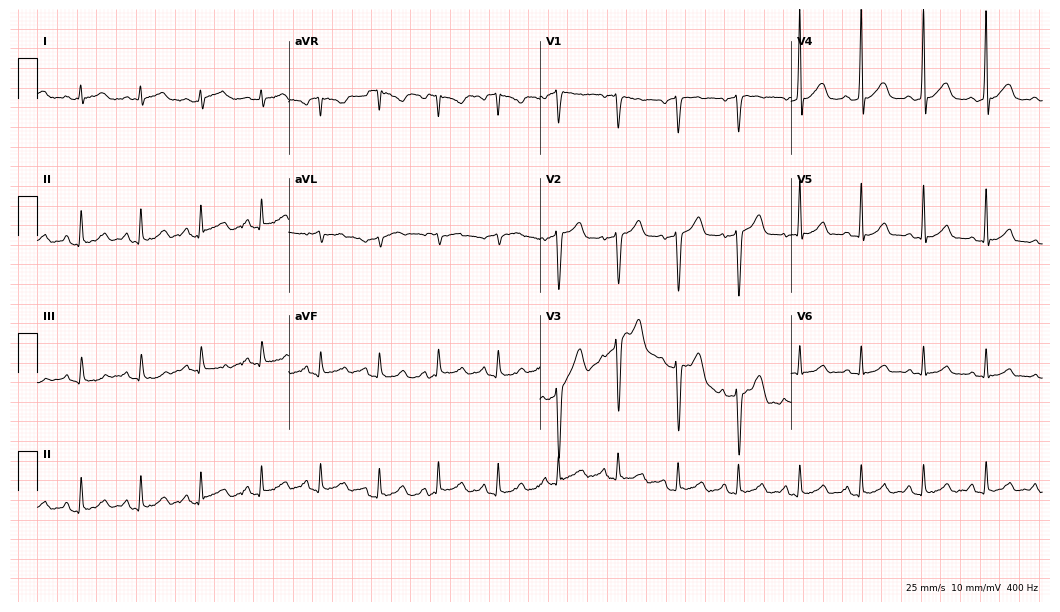
ECG (10.2-second recording at 400 Hz) — a 38-year-old man. Screened for six findings — first-degree AV block, right bundle branch block (RBBB), left bundle branch block (LBBB), sinus bradycardia, atrial fibrillation (AF), sinus tachycardia — none is recorded.